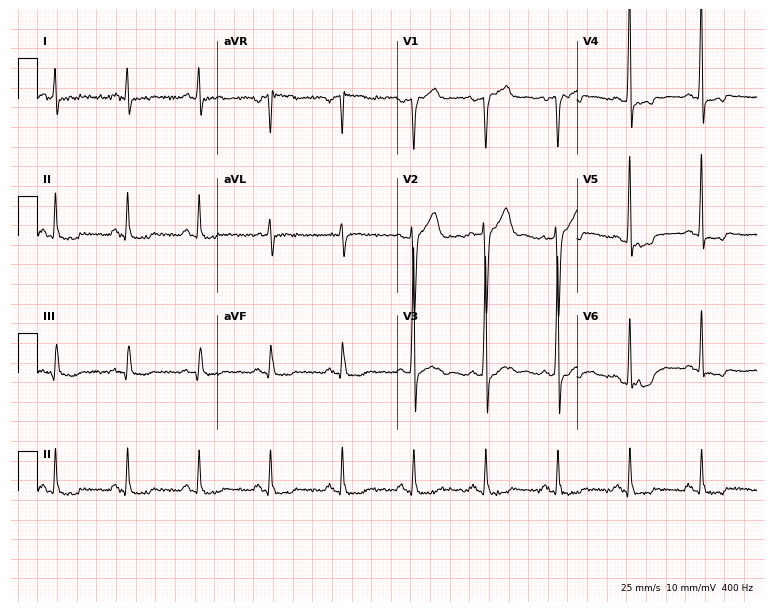
Electrocardiogram, a 55-year-old male patient. Of the six screened findings (first-degree AV block, right bundle branch block, left bundle branch block, sinus bradycardia, atrial fibrillation, sinus tachycardia), none is recorded.